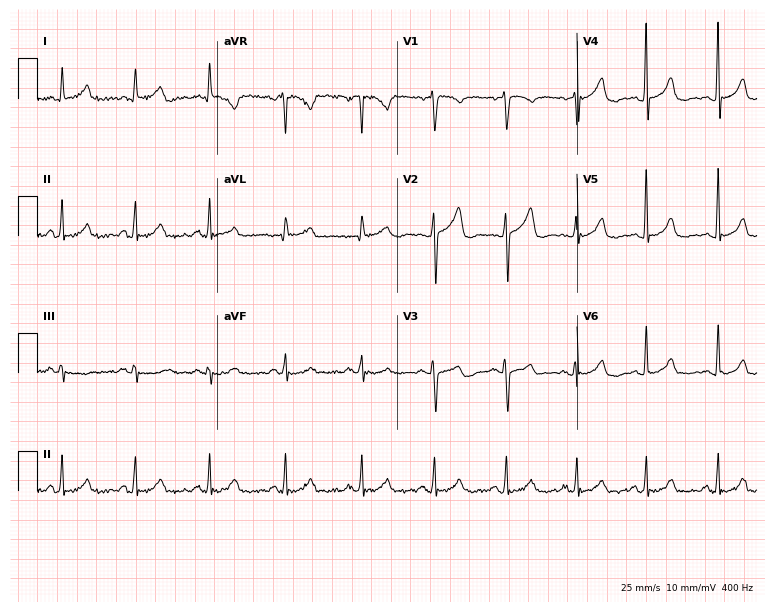
ECG (7.3-second recording at 400 Hz) — a male patient, 38 years old. Labelled as a normal ECG.